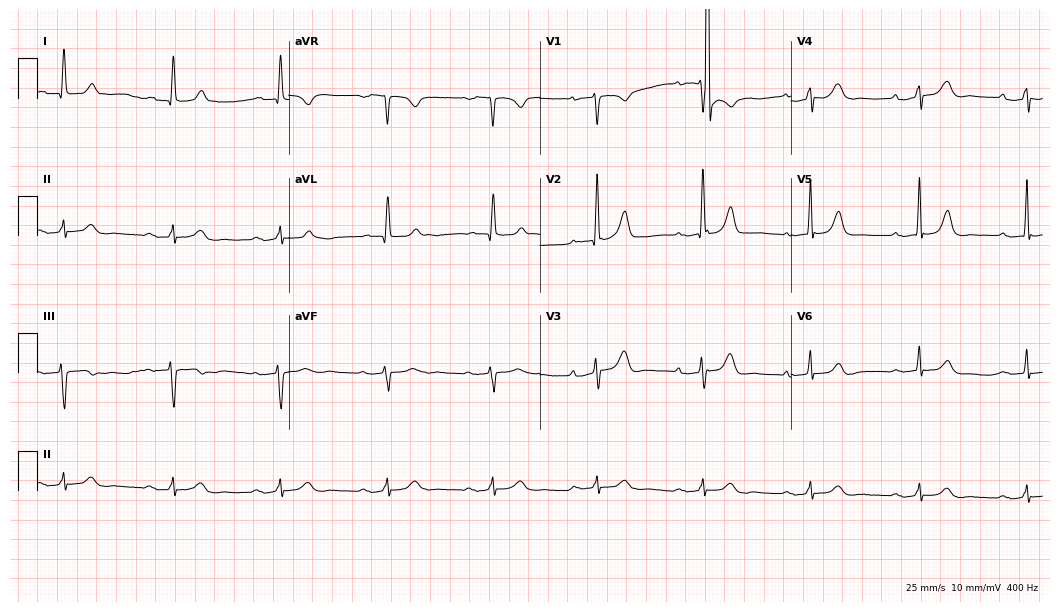
Resting 12-lead electrocardiogram (10.2-second recording at 400 Hz). Patient: a woman, 81 years old. The tracing shows first-degree AV block.